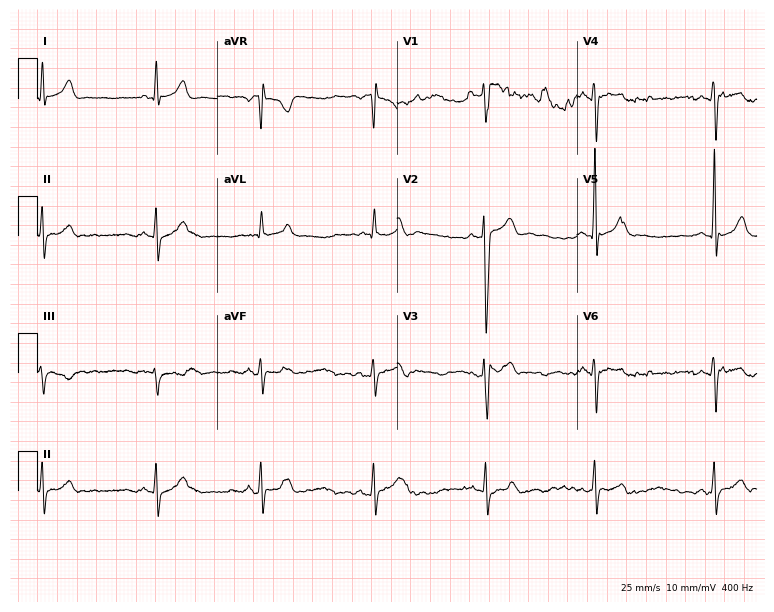
12-lead ECG from a 29-year-old man (7.3-second recording at 400 Hz). No first-degree AV block, right bundle branch block, left bundle branch block, sinus bradycardia, atrial fibrillation or sinus tachycardia recorded for this tracing. Other findings, if any, are not listed.